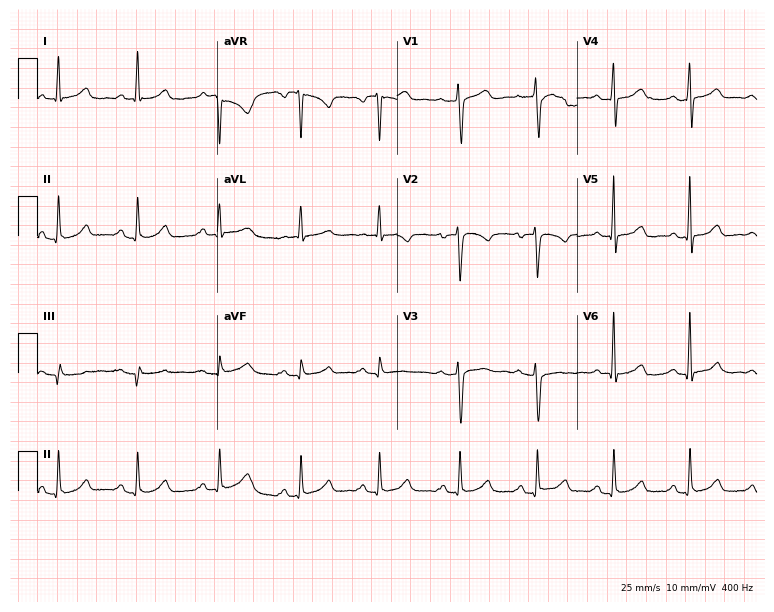
Electrocardiogram, a female, 40 years old. Overall reading on record: normal ECG.